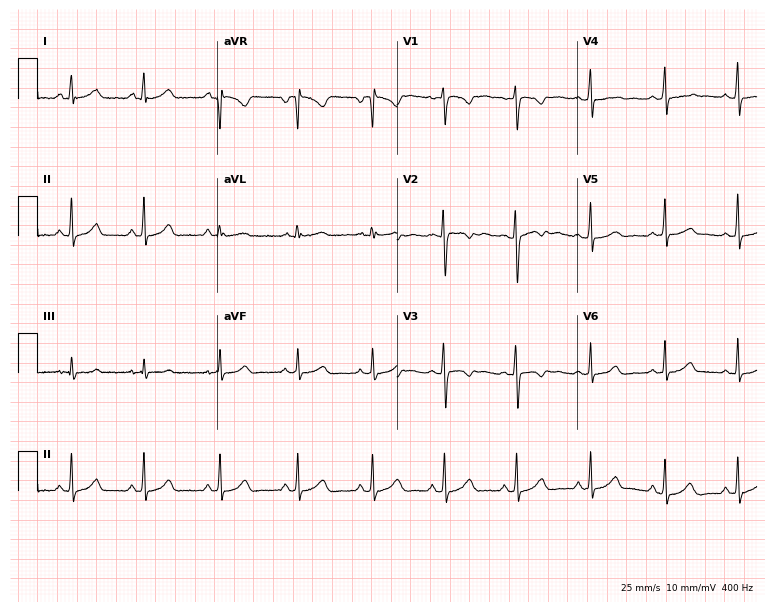
Standard 12-lead ECG recorded from a 23-year-old woman (7.3-second recording at 400 Hz). Read as a normal ECG.